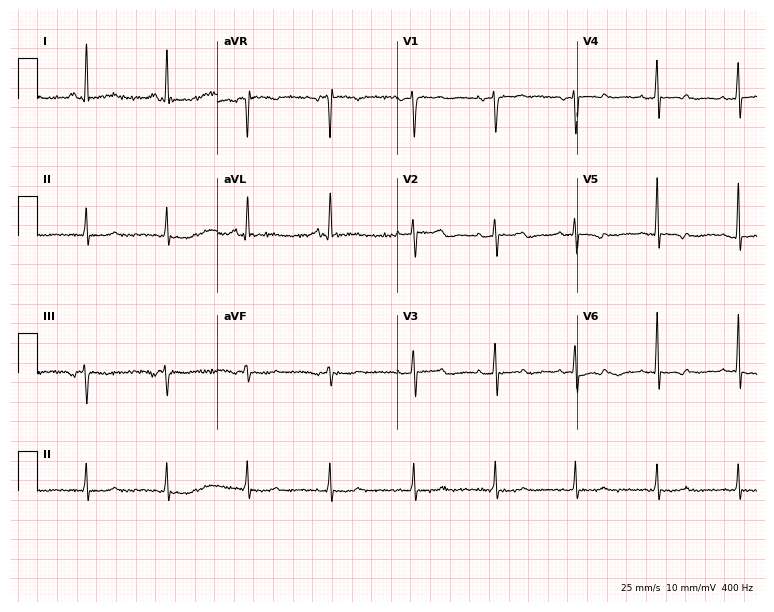
12-lead ECG from a 70-year-old female. No first-degree AV block, right bundle branch block, left bundle branch block, sinus bradycardia, atrial fibrillation or sinus tachycardia recorded for this tracing. Only these six findings were labelled.